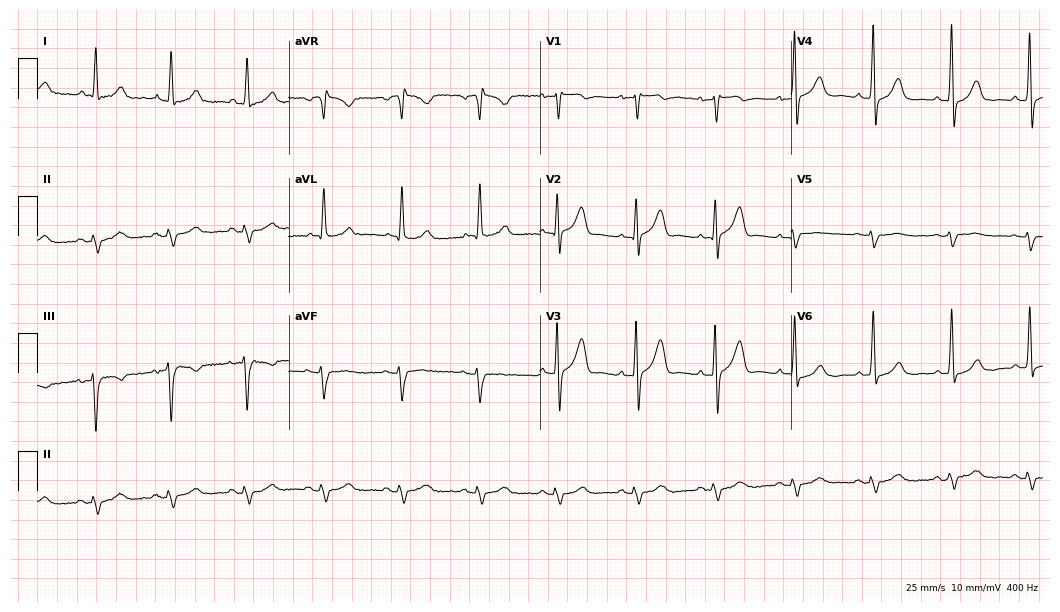
12-lead ECG from a 70-year-old male. No first-degree AV block, right bundle branch block, left bundle branch block, sinus bradycardia, atrial fibrillation or sinus tachycardia recorded for this tracing. Only these six findings were labelled.